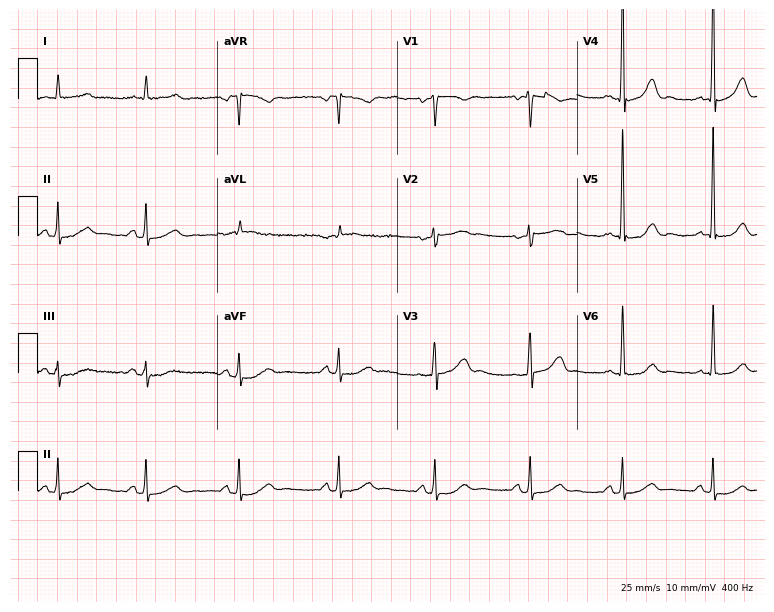
ECG — a man, 60 years old. Labelled as a normal ECG.